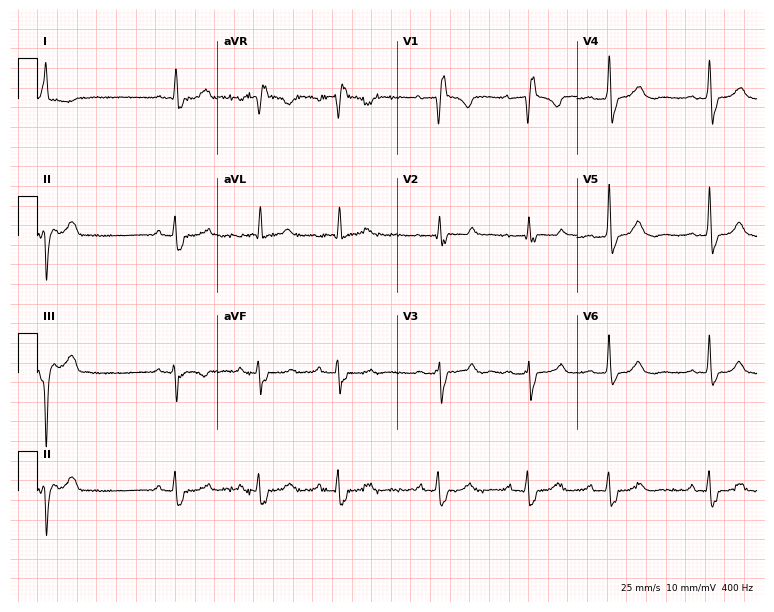
ECG (7.3-second recording at 400 Hz) — a female, 69 years old. Findings include first-degree AV block, right bundle branch block.